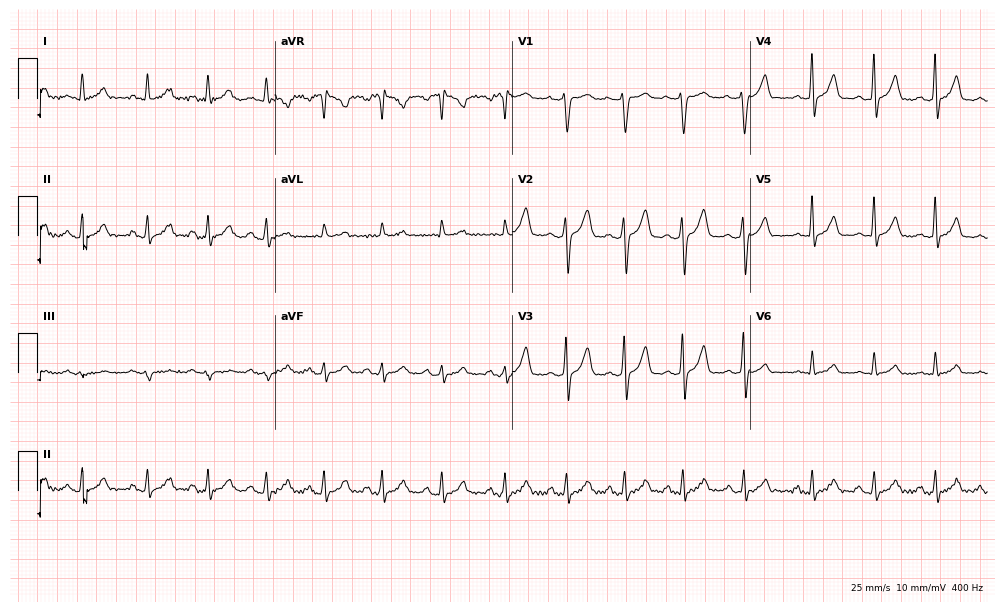
12-lead ECG (9.7-second recording at 400 Hz) from a 44-year-old woman. Screened for six findings — first-degree AV block, right bundle branch block, left bundle branch block, sinus bradycardia, atrial fibrillation, sinus tachycardia — none is recorded. Other findings, if any, are not listed.